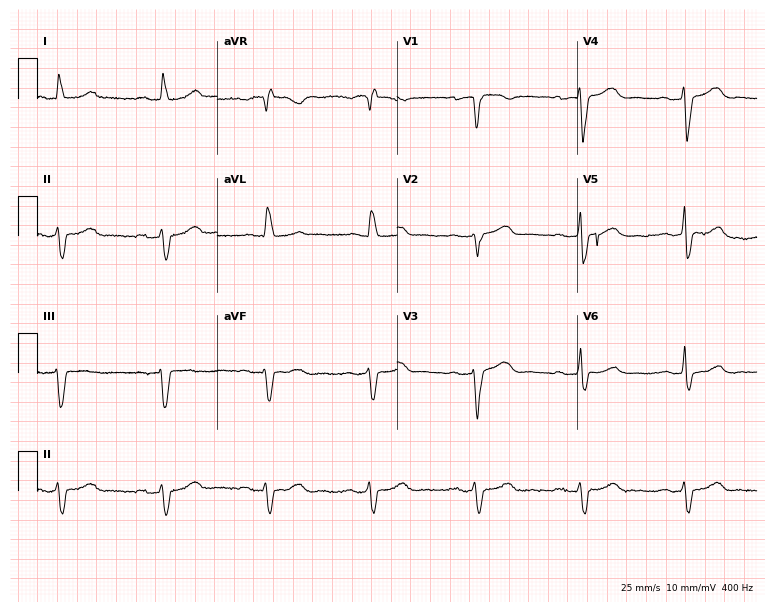
ECG (7.3-second recording at 400 Hz) — a female, 81 years old. Screened for six findings — first-degree AV block, right bundle branch block, left bundle branch block, sinus bradycardia, atrial fibrillation, sinus tachycardia — none is recorded. Findings outside these six are not listed.